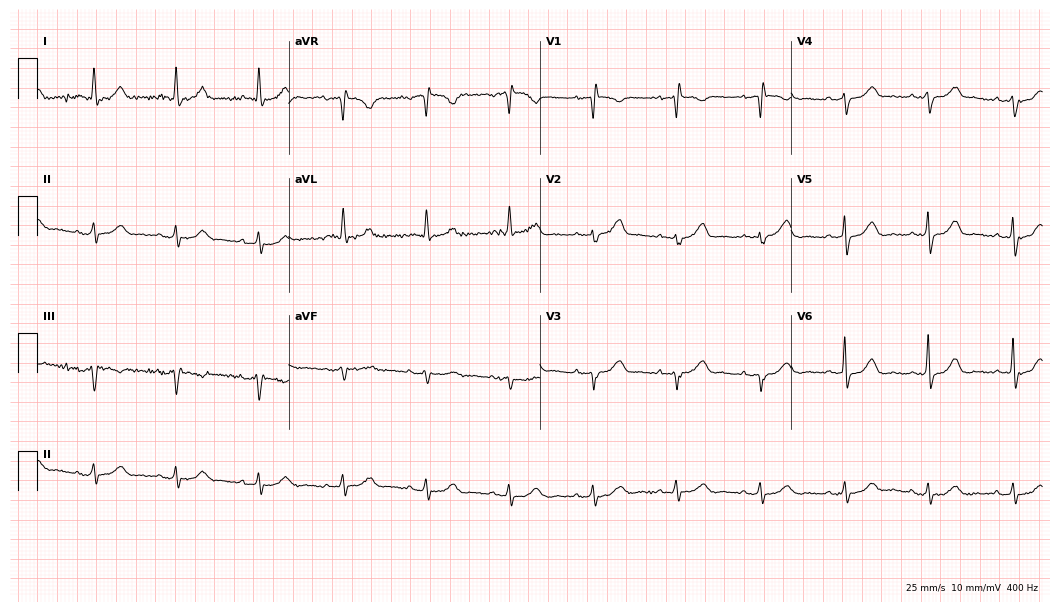
12-lead ECG (10.2-second recording at 400 Hz) from a woman, 85 years old. Screened for six findings — first-degree AV block, right bundle branch block, left bundle branch block, sinus bradycardia, atrial fibrillation, sinus tachycardia — none is recorded.